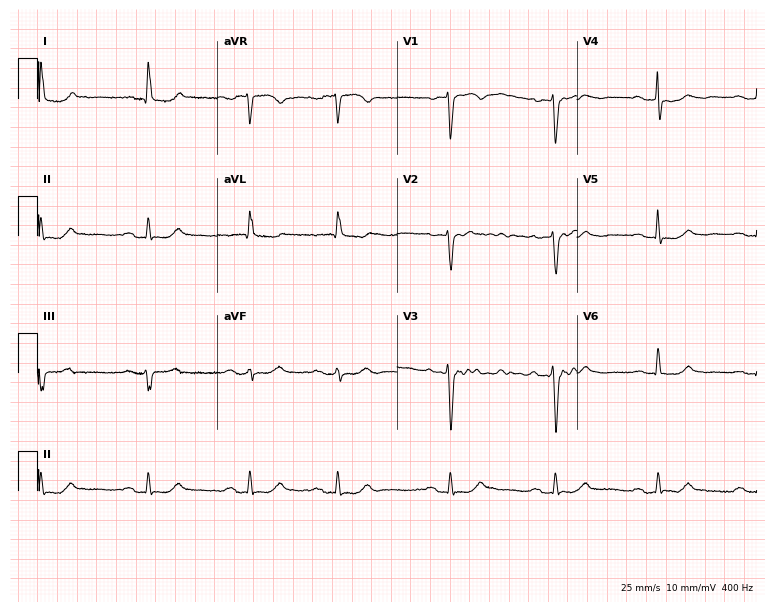
Standard 12-lead ECG recorded from a female patient, 76 years old. Read as a normal ECG.